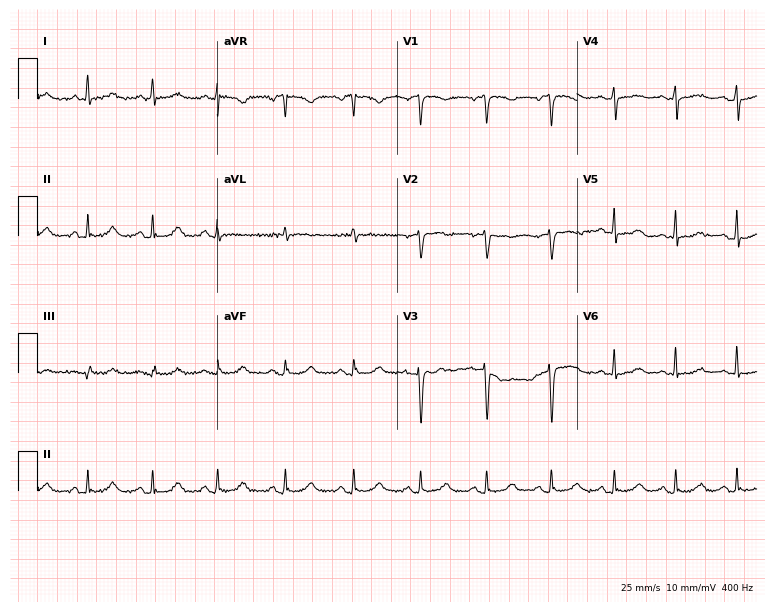
12-lead ECG from a woman, 42 years old. No first-degree AV block, right bundle branch block, left bundle branch block, sinus bradycardia, atrial fibrillation or sinus tachycardia recorded for this tracing. Findings outside these six are not listed.